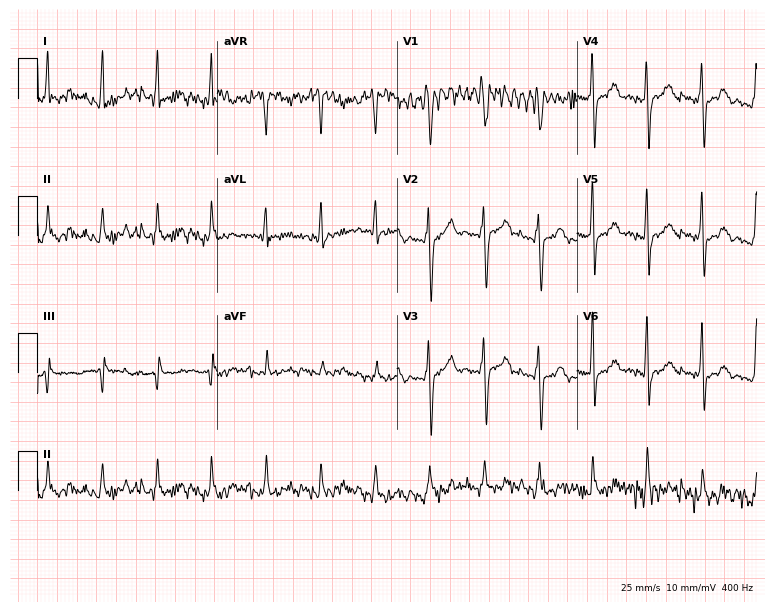
Resting 12-lead electrocardiogram (7.3-second recording at 400 Hz). Patient: a man, 38 years old. None of these six findings is recorded: first-degree AV block, right bundle branch block, left bundle branch block, sinus bradycardia, atrial fibrillation, sinus tachycardia.